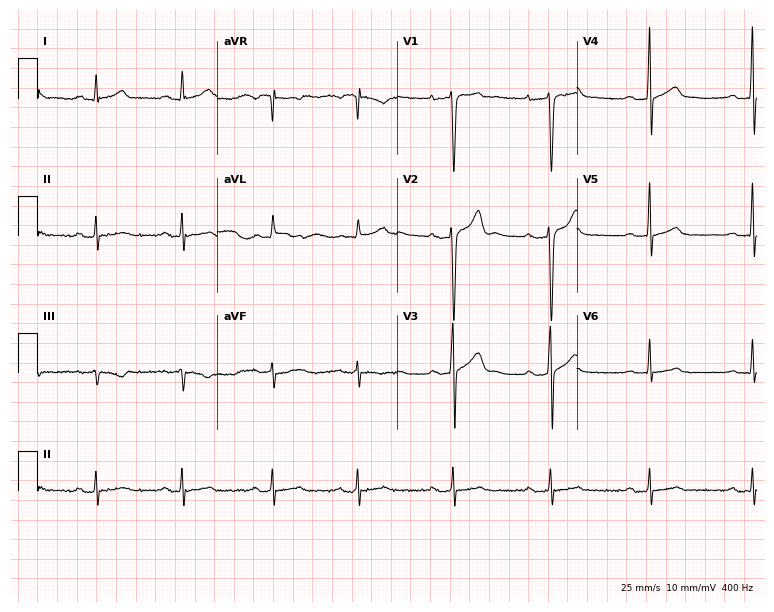
12-lead ECG (7.3-second recording at 400 Hz) from a 26-year-old male. Findings include first-degree AV block.